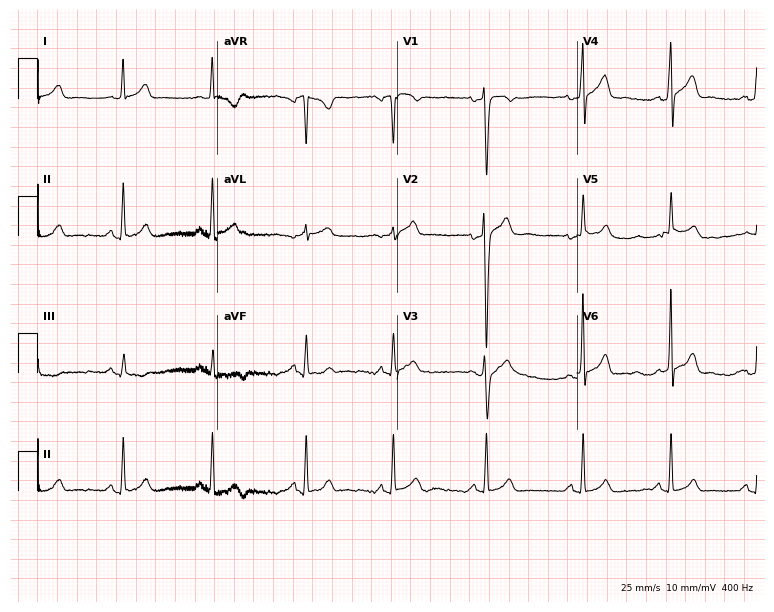
12-lead ECG from a 25-year-old man. Screened for six findings — first-degree AV block, right bundle branch block (RBBB), left bundle branch block (LBBB), sinus bradycardia, atrial fibrillation (AF), sinus tachycardia — none is recorded.